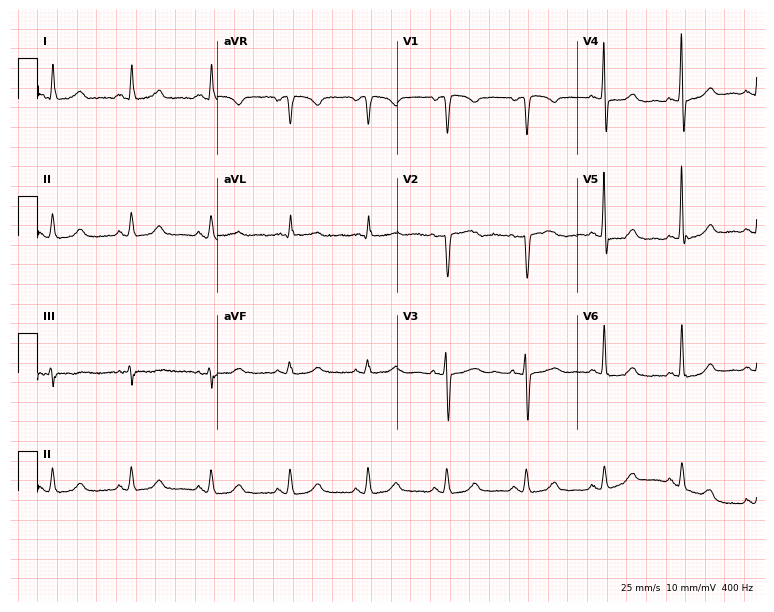
Standard 12-lead ECG recorded from a female patient, 49 years old (7.3-second recording at 400 Hz). Read as a normal ECG.